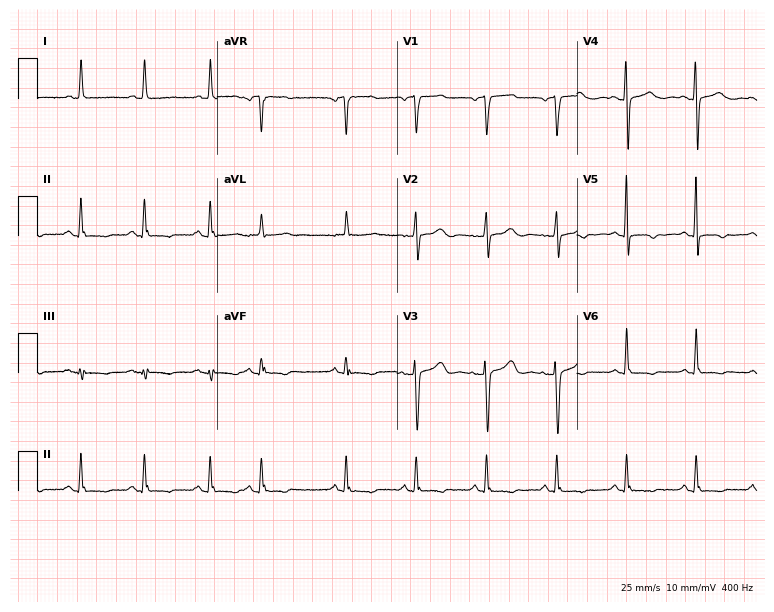
ECG (7.3-second recording at 400 Hz) — a 72-year-old female patient. Labelled as a normal ECG.